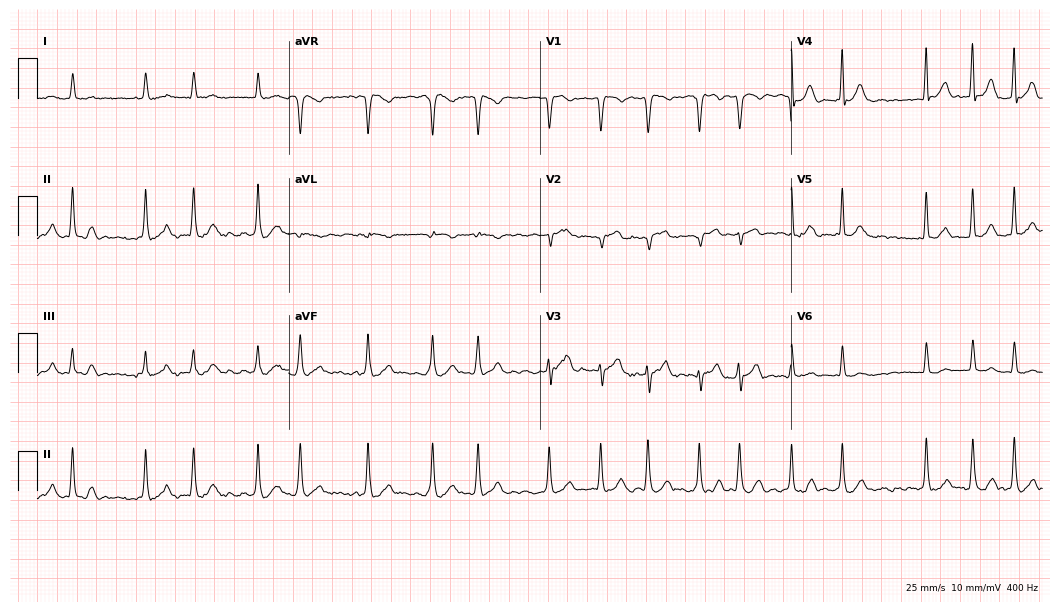
12-lead ECG (10.2-second recording at 400 Hz) from a 70-year-old male patient. Findings include atrial fibrillation (AF).